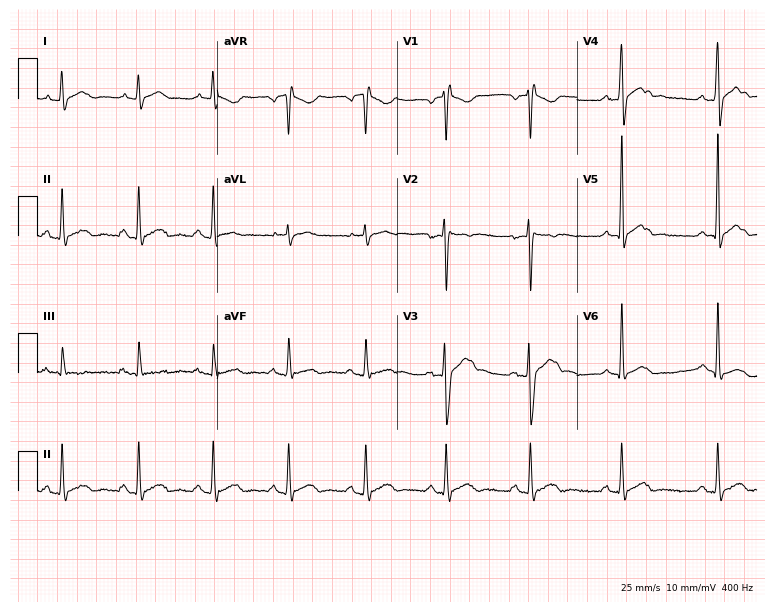
ECG (7.3-second recording at 400 Hz) — a 31-year-old male patient. Screened for six findings — first-degree AV block, right bundle branch block, left bundle branch block, sinus bradycardia, atrial fibrillation, sinus tachycardia — none is recorded. Only these six findings were labelled.